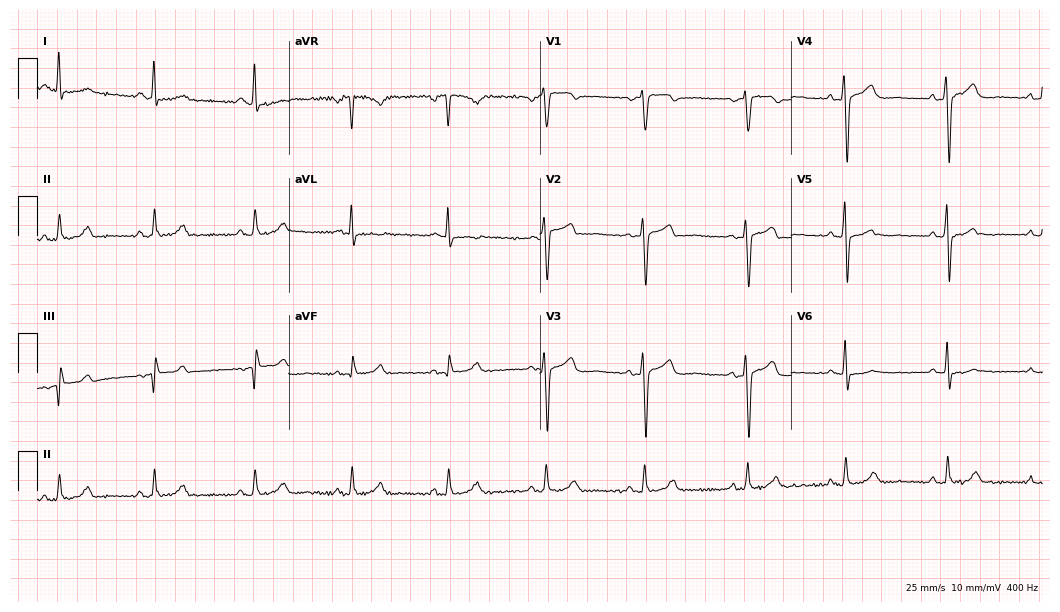
ECG — a female, 49 years old. Labelled as a normal ECG.